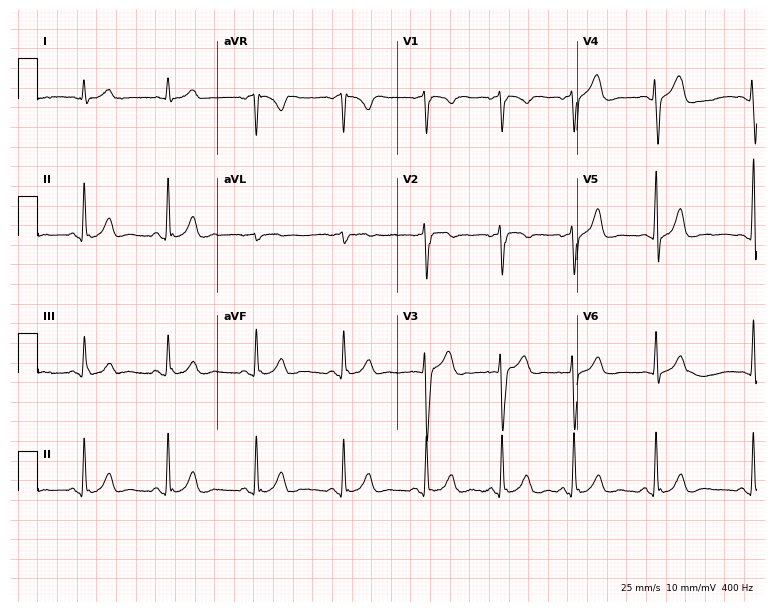
12-lead ECG from a 22-year-old male (7.3-second recording at 400 Hz). Recorded interpretation: within normal limits.